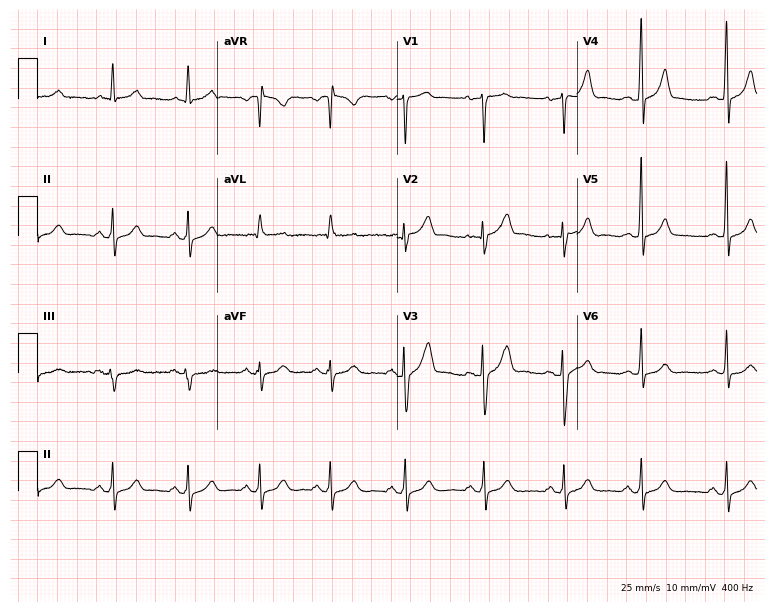
Standard 12-lead ECG recorded from a male, 39 years old. Read as a normal ECG.